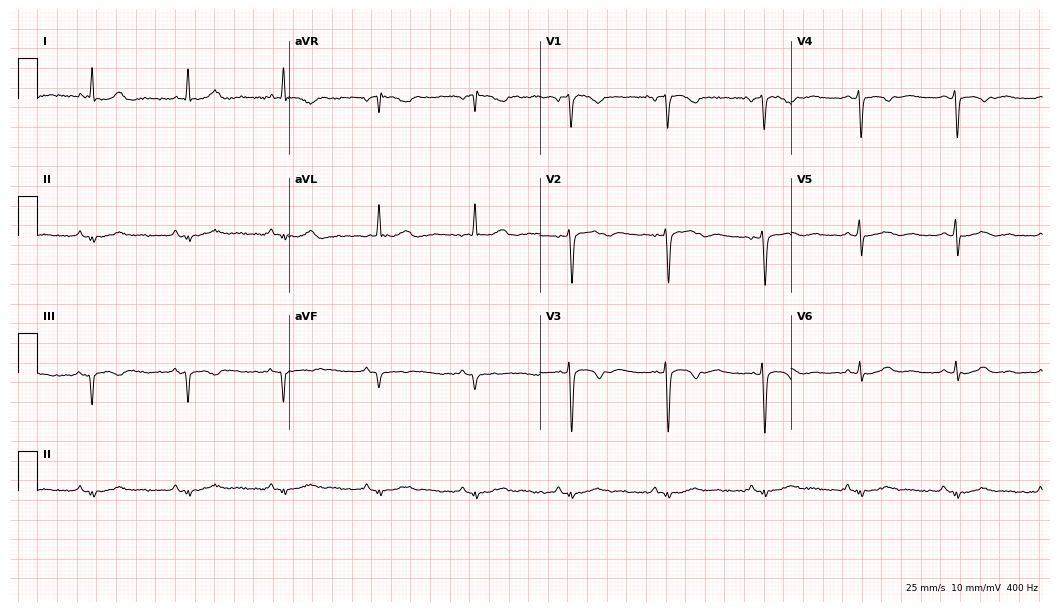
Resting 12-lead electrocardiogram. Patient: a 64-year-old male. None of these six findings is recorded: first-degree AV block, right bundle branch block, left bundle branch block, sinus bradycardia, atrial fibrillation, sinus tachycardia.